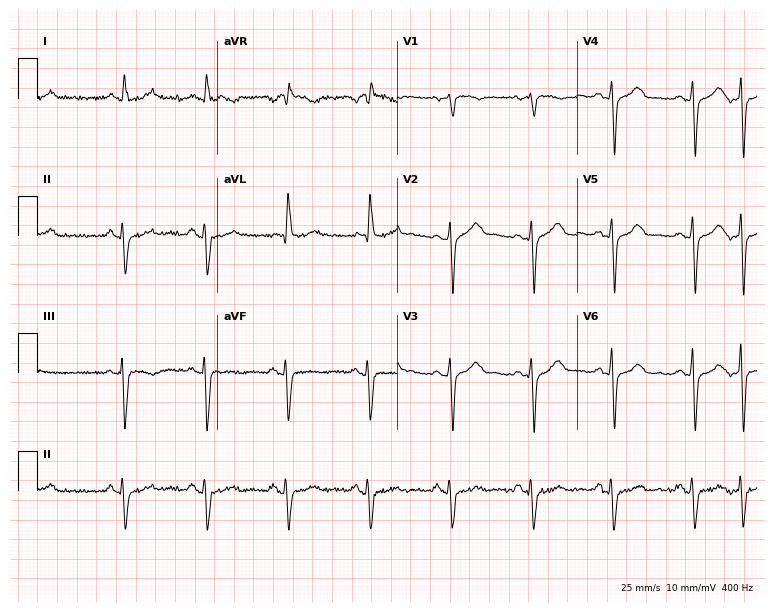
12-lead ECG from a male, 80 years old. No first-degree AV block, right bundle branch block, left bundle branch block, sinus bradycardia, atrial fibrillation or sinus tachycardia recorded for this tracing.